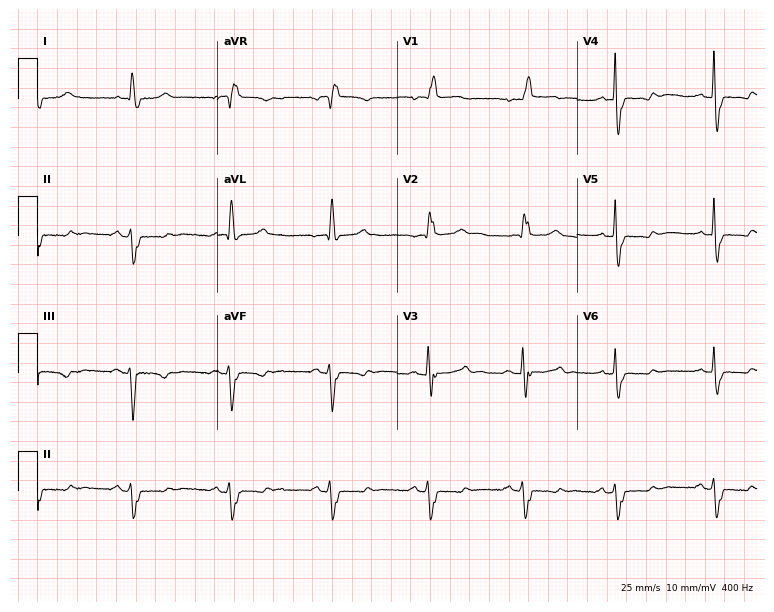
12-lead ECG from a female patient, 64 years old. Screened for six findings — first-degree AV block, right bundle branch block, left bundle branch block, sinus bradycardia, atrial fibrillation, sinus tachycardia — none is recorded. Only these six findings were labelled.